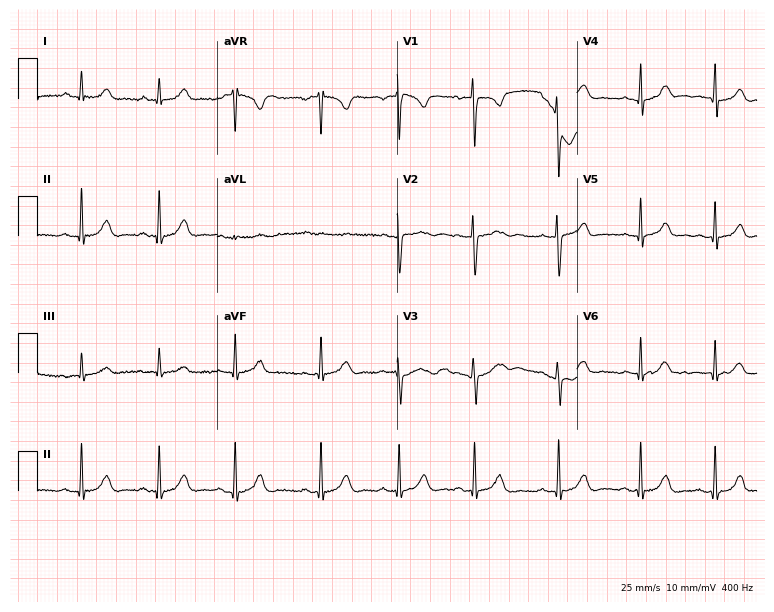
Standard 12-lead ECG recorded from a 23-year-old woman (7.3-second recording at 400 Hz). None of these six findings is recorded: first-degree AV block, right bundle branch block, left bundle branch block, sinus bradycardia, atrial fibrillation, sinus tachycardia. Only these six findings were labelled.